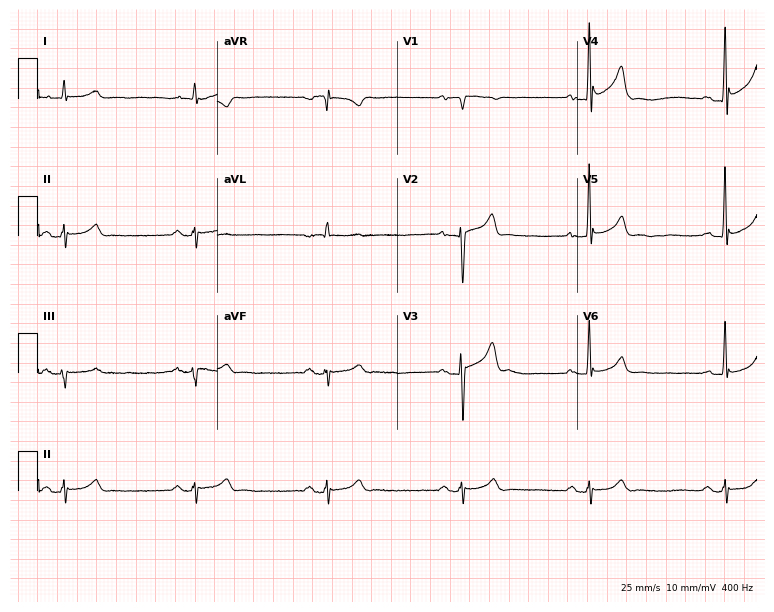
Resting 12-lead electrocardiogram (7.3-second recording at 400 Hz). Patient: a male, 49 years old. None of these six findings is recorded: first-degree AV block, right bundle branch block, left bundle branch block, sinus bradycardia, atrial fibrillation, sinus tachycardia.